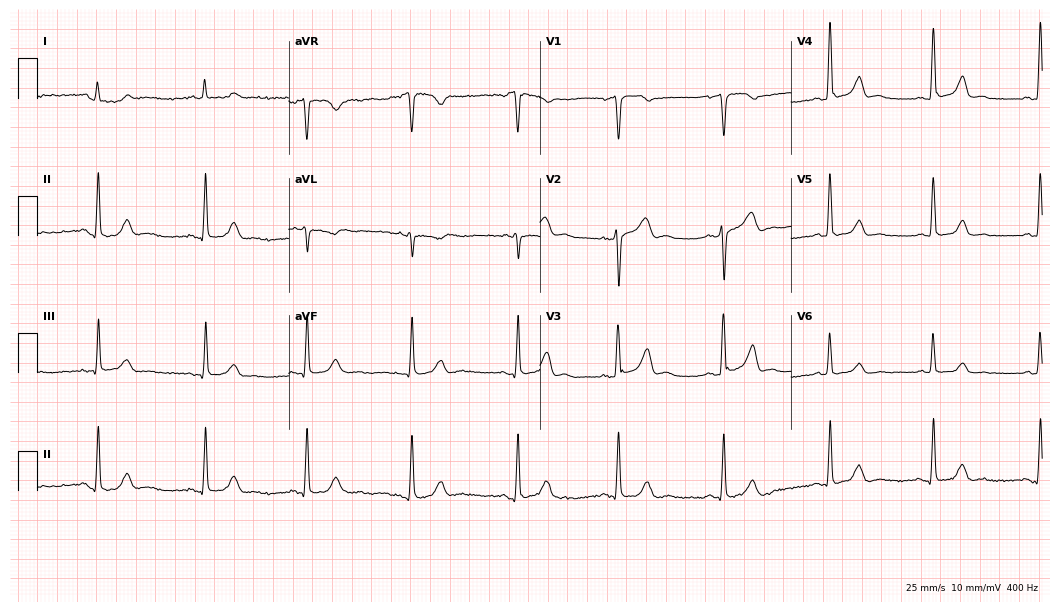
Standard 12-lead ECG recorded from a 50-year-old male patient. Read as a normal ECG.